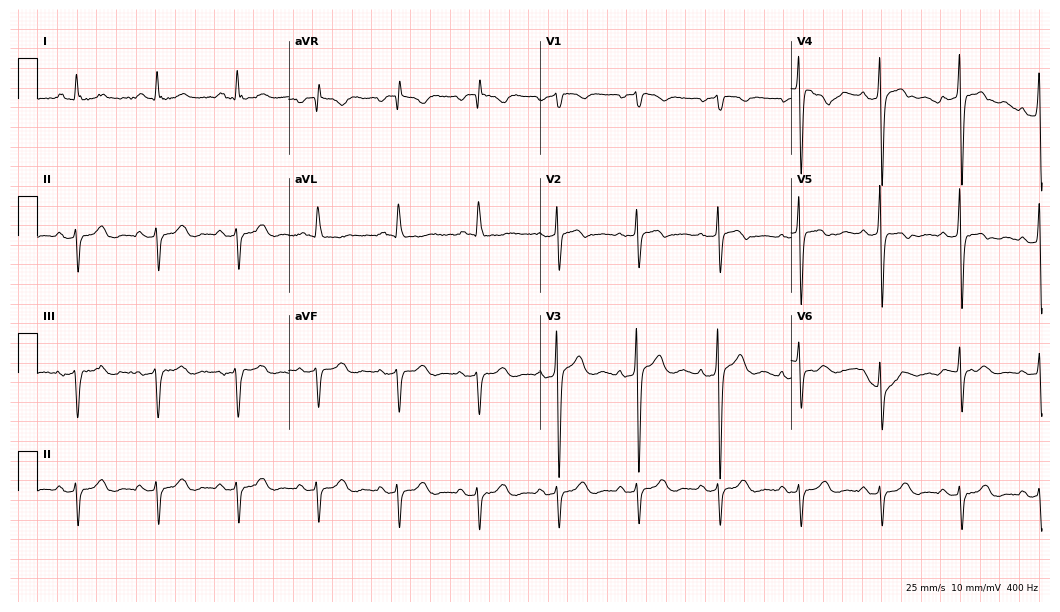
Standard 12-lead ECG recorded from an 83-year-old male patient (10.2-second recording at 400 Hz). None of these six findings is recorded: first-degree AV block, right bundle branch block, left bundle branch block, sinus bradycardia, atrial fibrillation, sinus tachycardia.